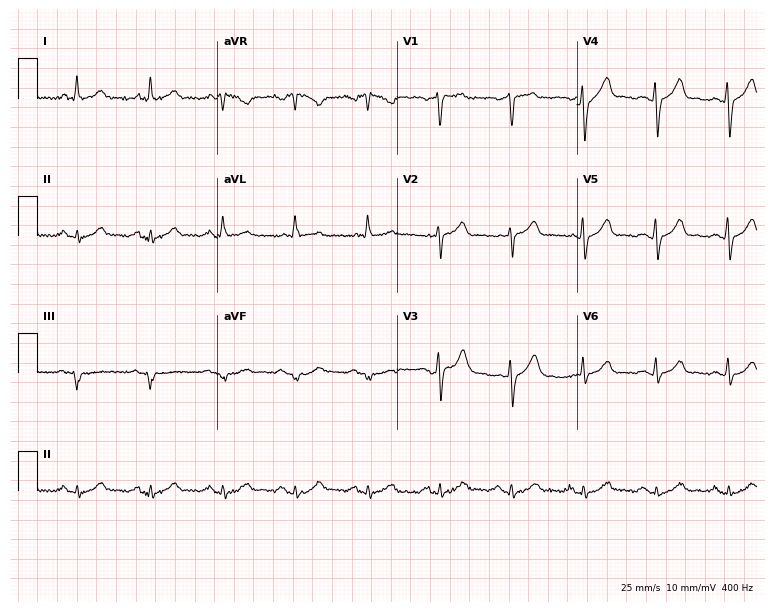
ECG (7.3-second recording at 400 Hz) — a male patient, 72 years old. Labelled as a normal ECG.